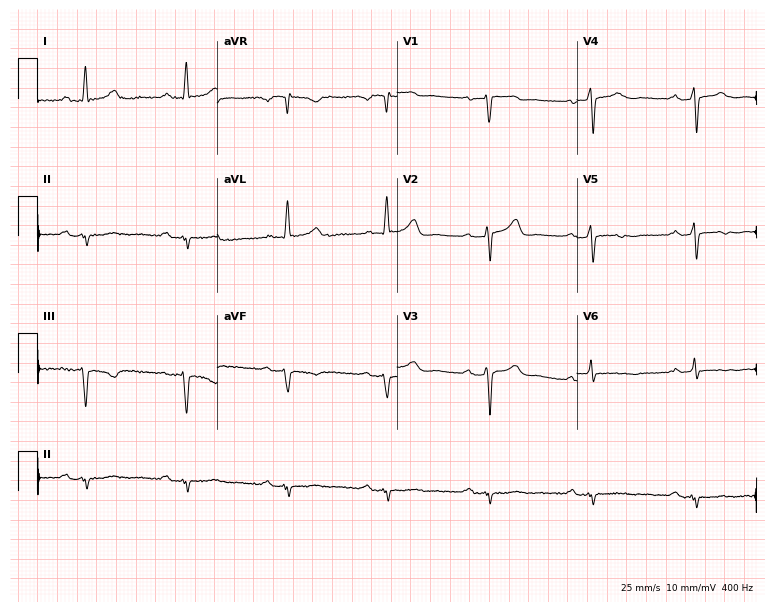
Resting 12-lead electrocardiogram. Patient: a male, 64 years old. None of these six findings is recorded: first-degree AV block, right bundle branch block (RBBB), left bundle branch block (LBBB), sinus bradycardia, atrial fibrillation (AF), sinus tachycardia. Other findings, if any, are not listed.